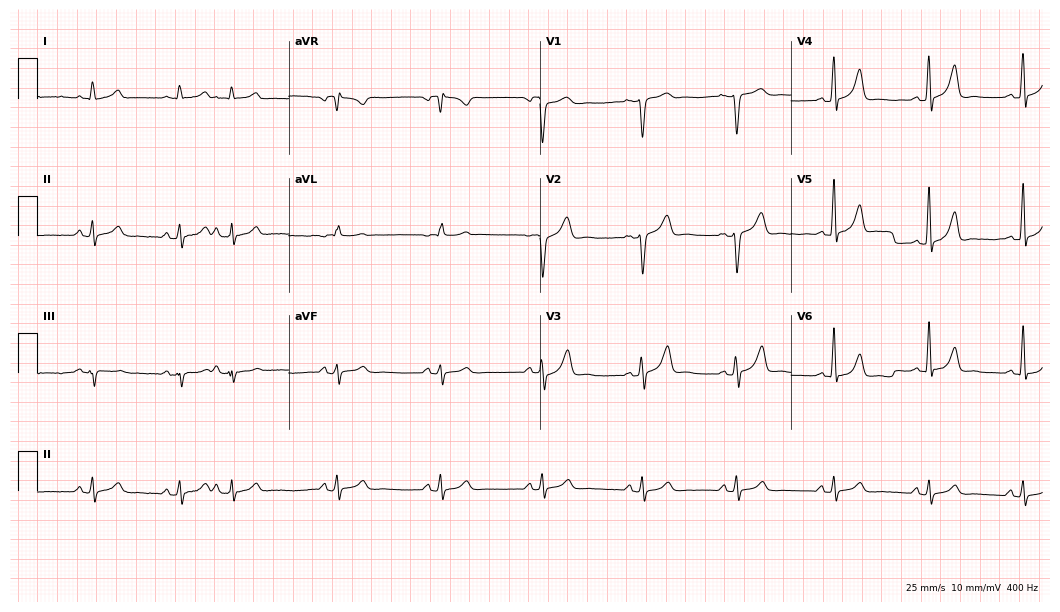
Electrocardiogram (10.2-second recording at 400 Hz), a 44-year-old woman. Of the six screened findings (first-degree AV block, right bundle branch block, left bundle branch block, sinus bradycardia, atrial fibrillation, sinus tachycardia), none is recorded. Other findings, if any, are not listed.